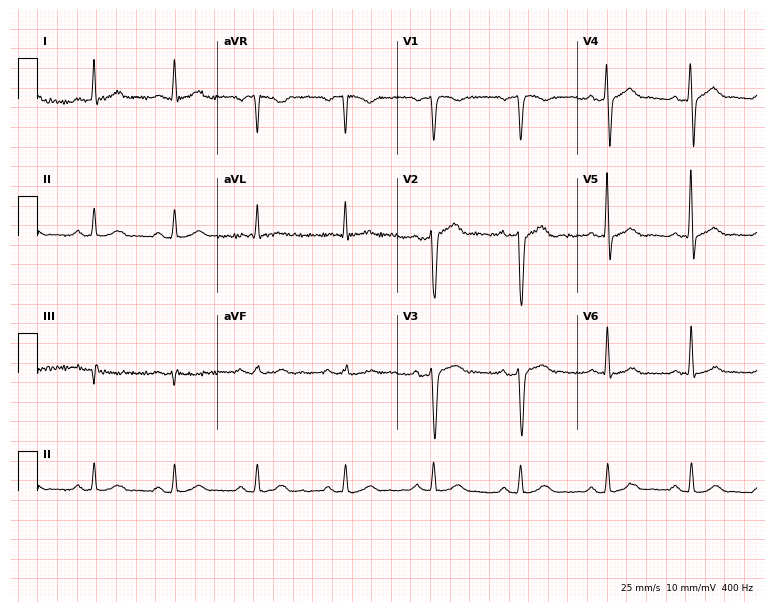
12-lead ECG from a 45-year-old male patient. Labelled as a normal ECG.